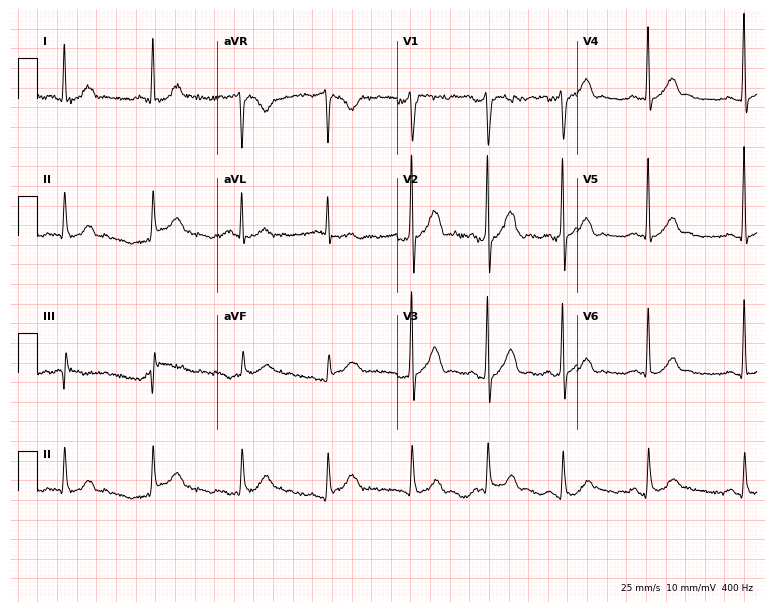
Standard 12-lead ECG recorded from a 48-year-old male. None of these six findings is recorded: first-degree AV block, right bundle branch block (RBBB), left bundle branch block (LBBB), sinus bradycardia, atrial fibrillation (AF), sinus tachycardia. Findings outside these six are not listed.